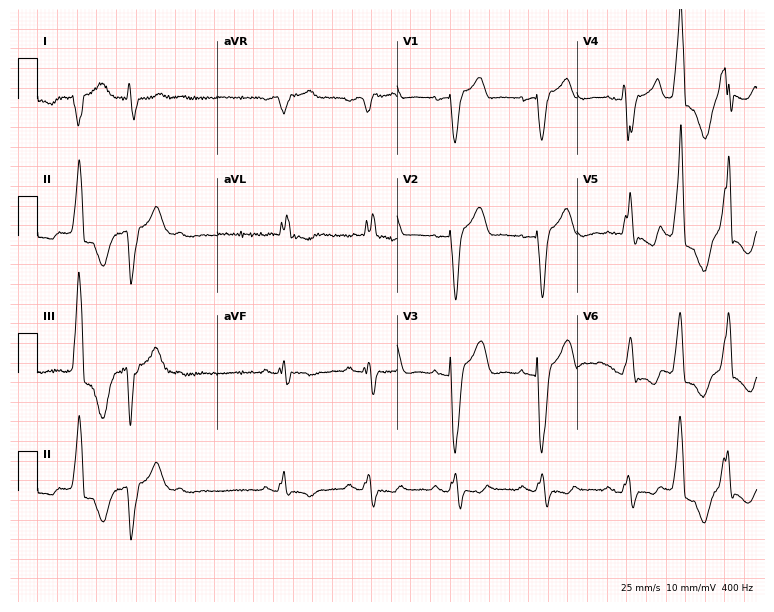
Standard 12-lead ECG recorded from an 84-year-old female (7.3-second recording at 400 Hz). The tracing shows left bundle branch block.